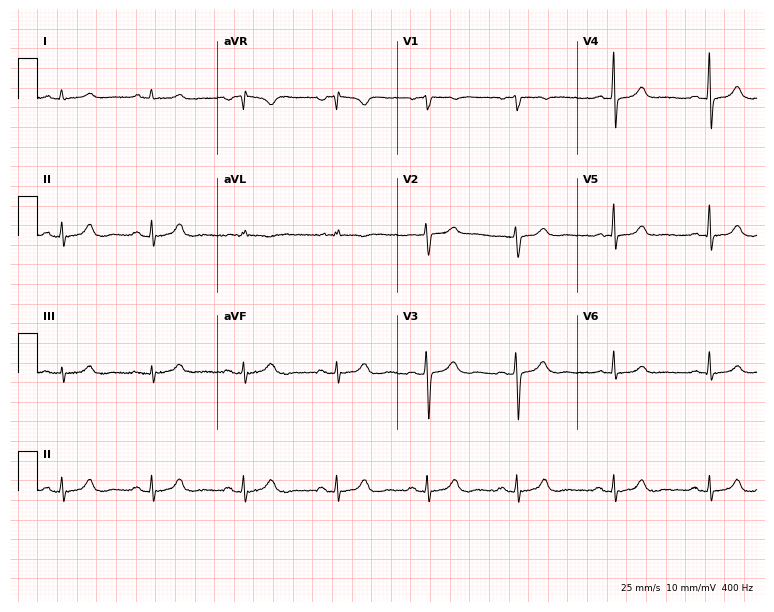
ECG (7.3-second recording at 400 Hz) — a female patient, 48 years old. Screened for six findings — first-degree AV block, right bundle branch block (RBBB), left bundle branch block (LBBB), sinus bradycardia, atrial fibrillation (AF), sinus tachycardia — none is recorded.